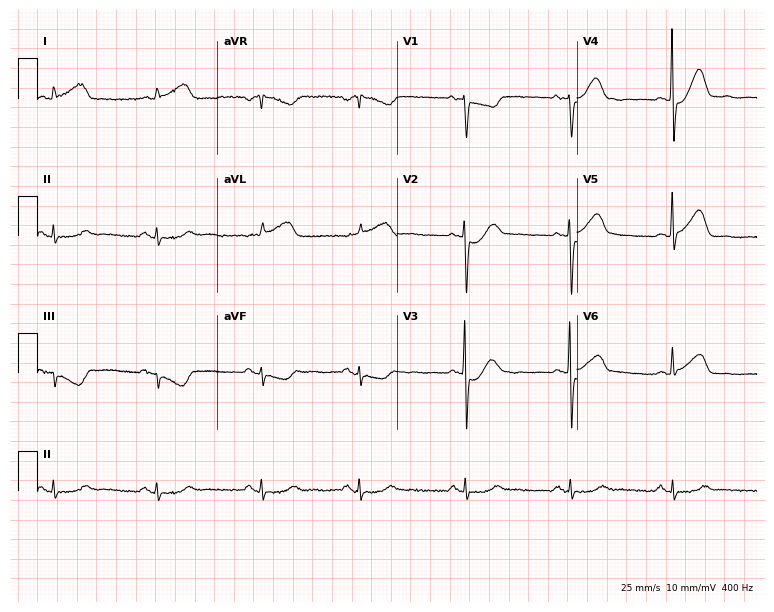
Resting 12-lead electrocardiogram (7.3-second recording at 400 Hz). Patient: a 71-year-old female. None of these six findings is recorded: first-degree AV block, right bundle branch block (RBBB), left bundle branch block (LBBB), sinus bradycardia, atrial fibrillation (AF), sinus tachycardia. Findings outside these six are not listed.